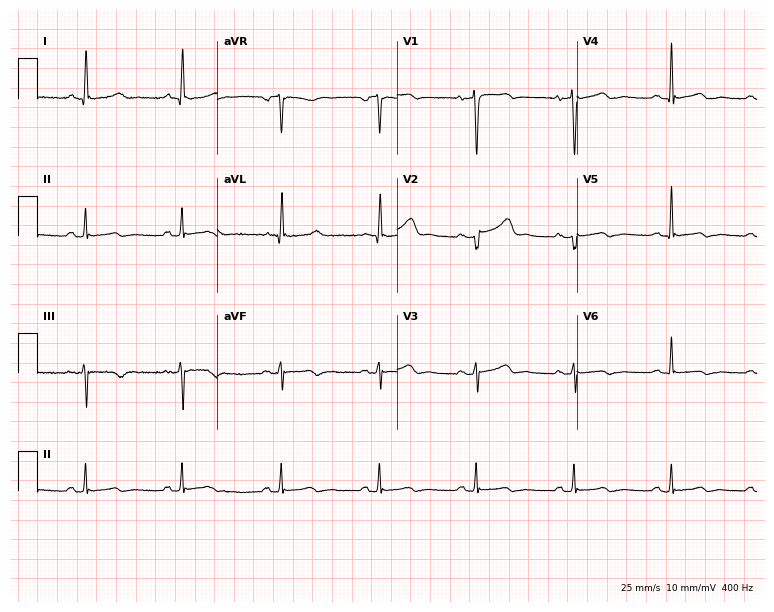
Electrocardiogram, a woman, 83 years old. Overall reading on record: normal ECG.